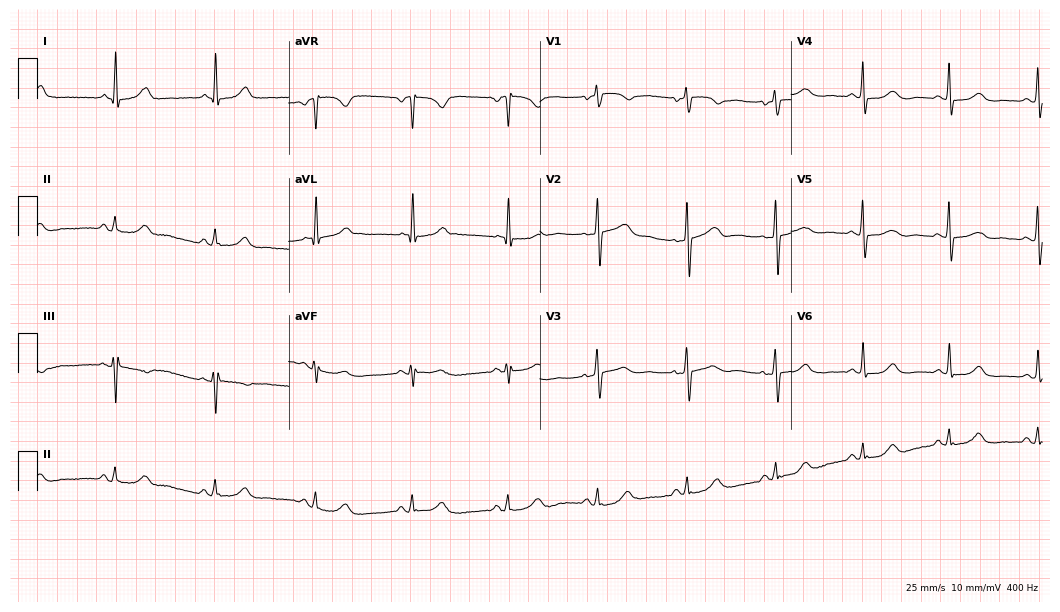
12-lead ECG from a female patient, 66 years old. Recorded interpretation: within normal limits.